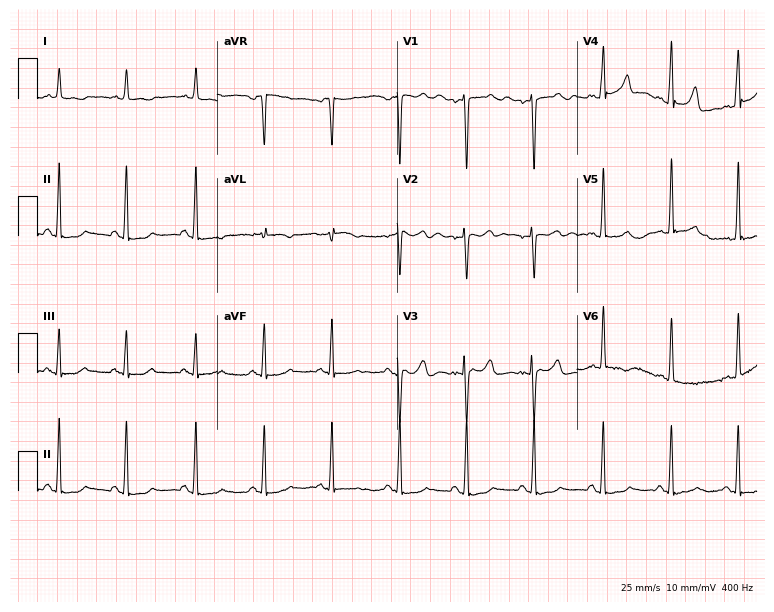
ECG — a man, 55 years old. Screened for six findings — first-degree AV block, right bundle branch block, left bundle branch block, sinus bradycardia, atrial fibrillation, sinus tachycardia — none is recorded. Findings outside these six are not listed.